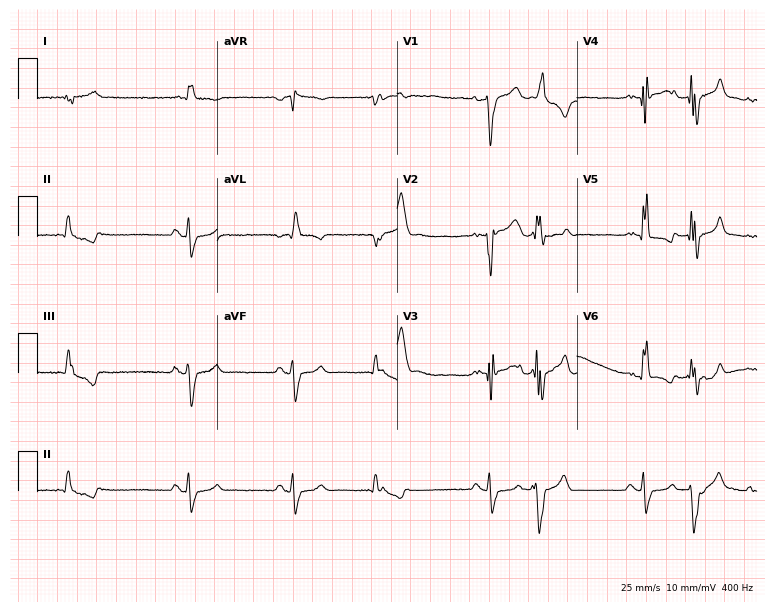
Standard 12-lead ECG recorded from a male patient, 82 years old. None of these six findings is recorded: first-degree AV block, right bundle branch block, left bundle branch block, sinus bradycardia, atrial fibrillation, sinus tachycardia. Other findings, if any, are not listed.